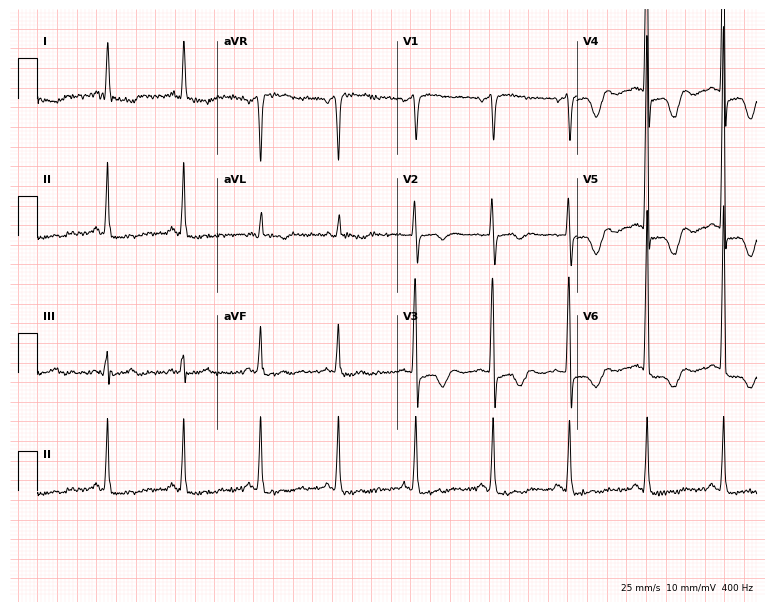
12-lead ECG from a female, 80 years old (7.3-second recording at 400 Hz). No first-degree AV block, right bundle branch block (RBBB), left bundle branch block (LBBB), sinus bradycardia, atrial fibrillation (AF) or sinus tachycardia recorded for this tracing. Other findings, if any, are not listed.